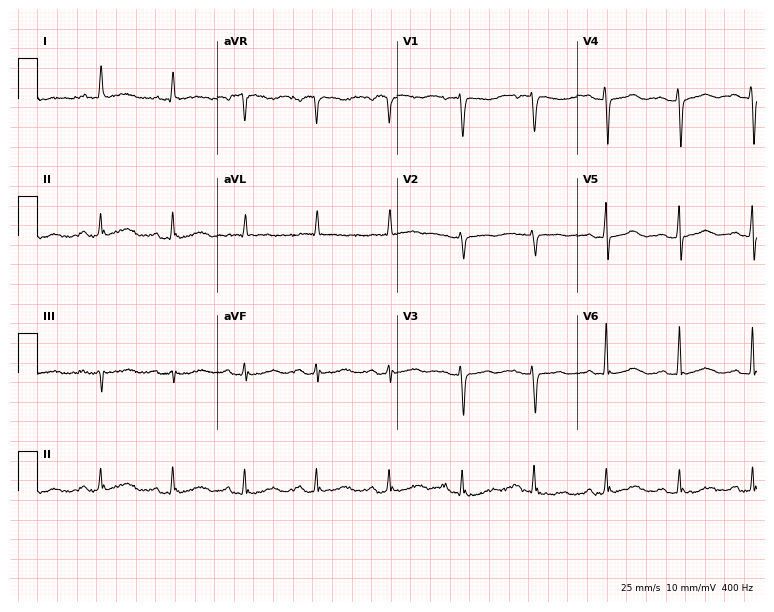
Electrocardiogram (7.3-second recording at 400 Hz), a female, 75 years old. Of the six screened findings (first-degree AV block, right bundle branch block (RBBB), left bundle branch block (LBBB), sinus bradycardia, atrial fibrillation (AF), sinus tachycardia), none is recorded. Only these six findings were labelled.